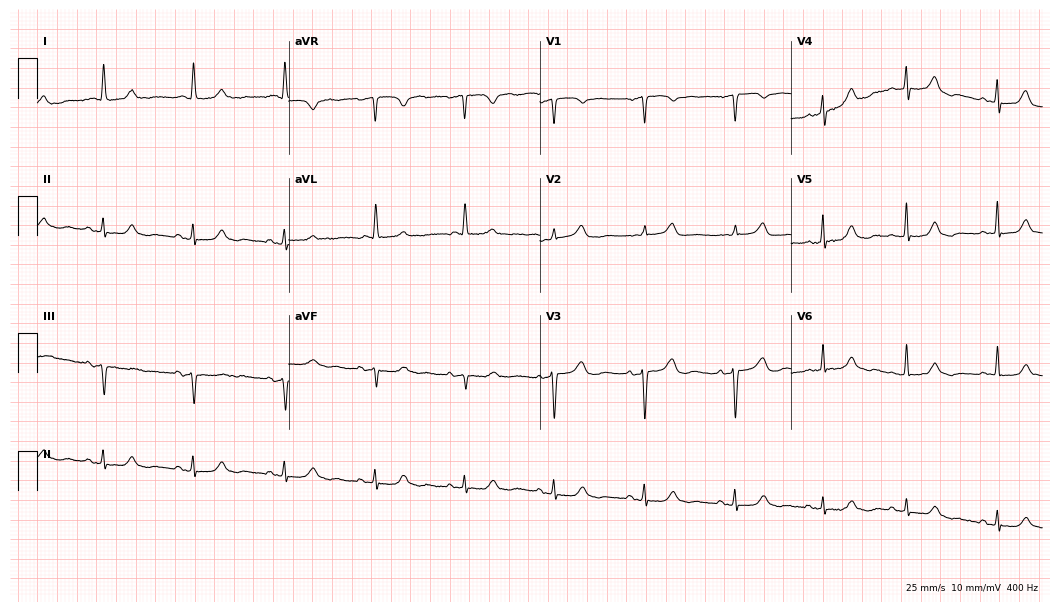
Standard 12-lead ECG recorded from a female patient, 84 years old. Read as a normal ECG.